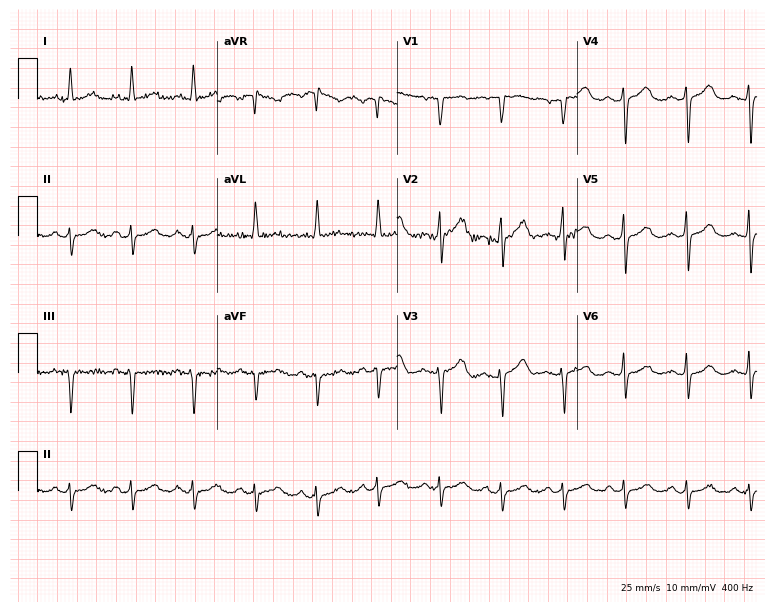
12-lead ECG from a 75-year-old female (7.3-second recording at 400 Hz). No first-degree AV block, right bundle branch block, left bundle branch block, sinus bradycardia, atrial fibrillation or sinus tachycardia recorded for this tracing.